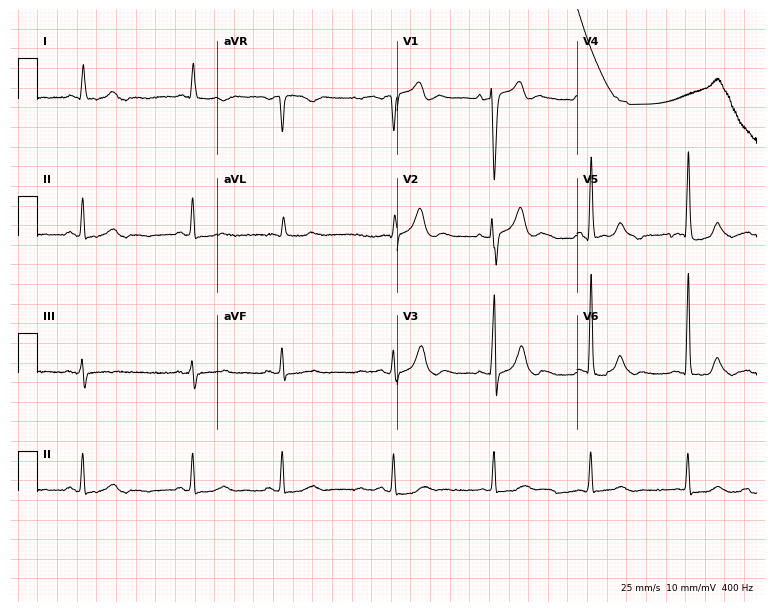
Standard 12-lead ECG recorded from a 75-year-old male patient. None of these six findings is recorded: first-degree AV block, right bundle branch block (RBBB), left bundle branch block (LBBB), sinus bradycardia, atrial fibrillation (AF), sinus tachycardia.